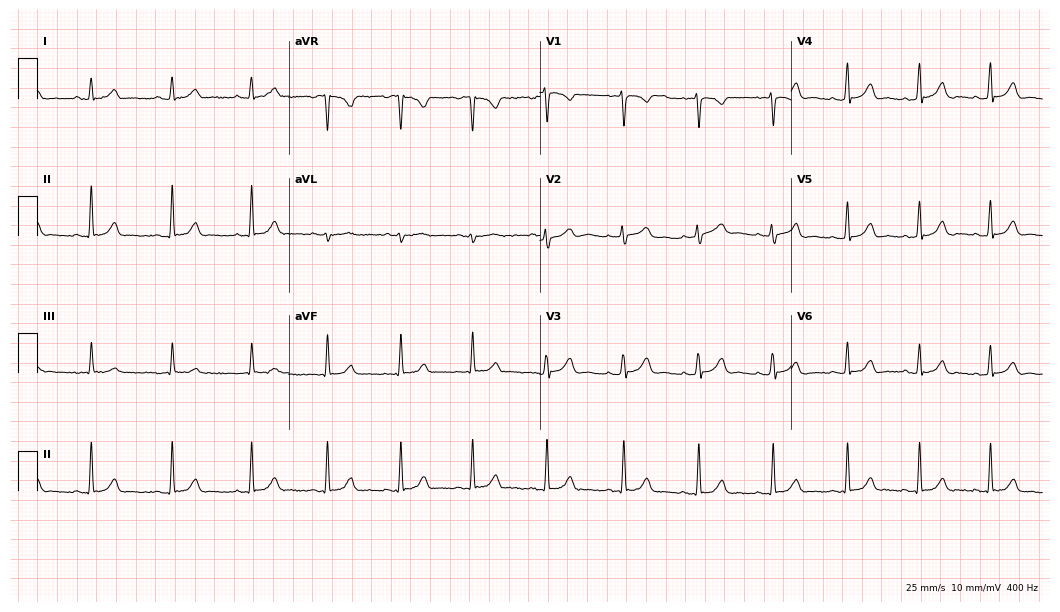
Resting 12-lead electrocardiogram. Patient: a female, 20 years old. Read as a normal ECG.